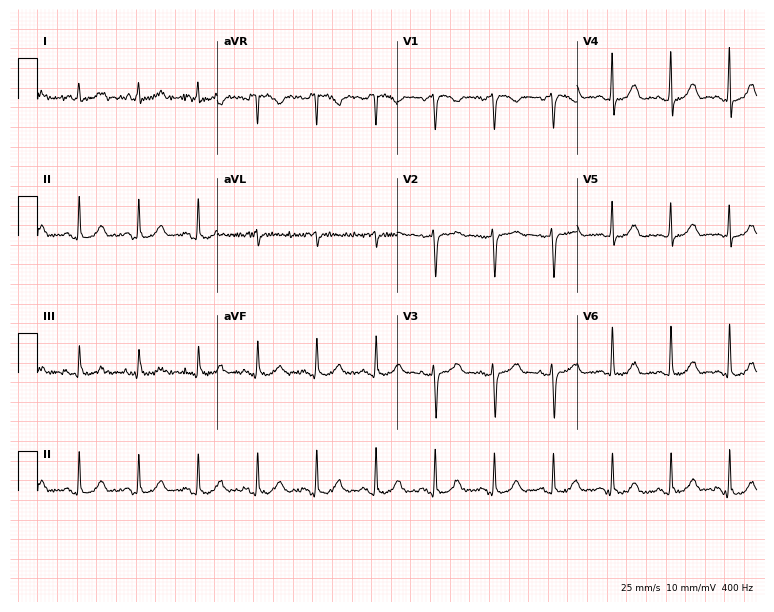
12-lead ECG from a 77-year-old female. Screened for six findings — first-degree AV block, right bundle branch block, left bundle branch block, sinus bradycardia, atrial fibrillation, sinus tachycardia — none is recorded. Only these six findings were labelled.